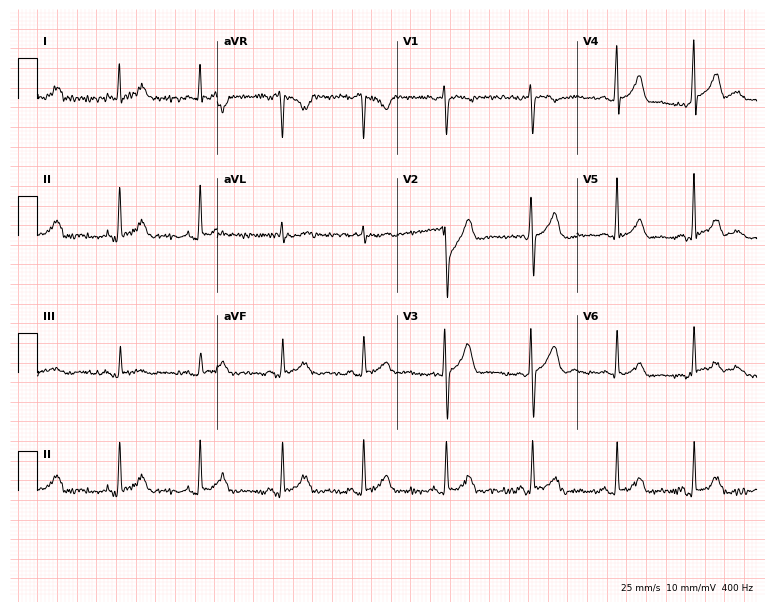
Standard 12-lead ECG recorded from a 39-year-old male (7.3-second recording at 400 Hz). Read as a normal ECG.